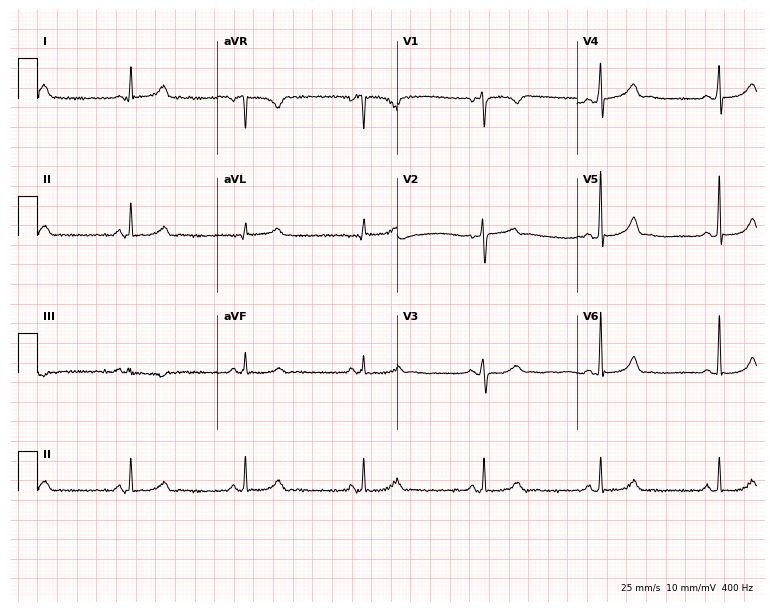
12-lead ECG from a 37-year-old male patient. Screened for six findings — first-degree AV block, right bundle branch block, left bundle branch block, sinus bradycardia, atrial fibrillation, sinus tachycardia — none is recorded.